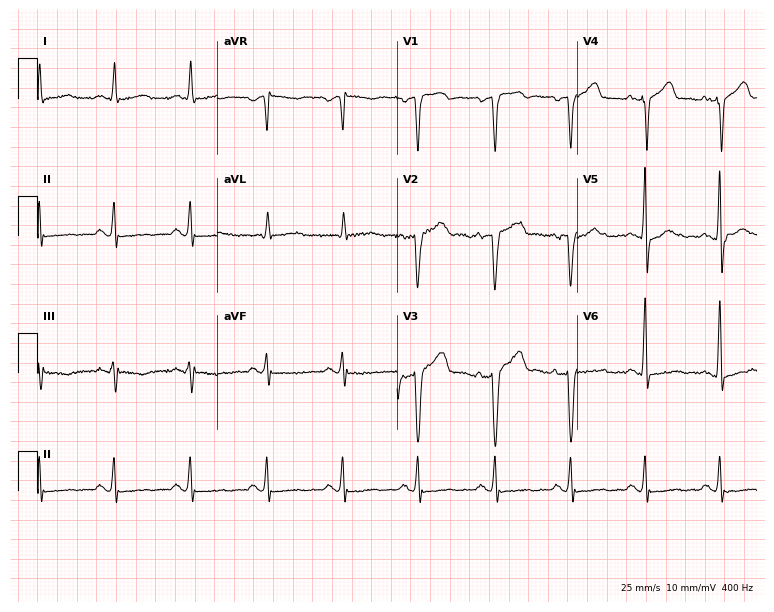
ECG — a 57-year-old man. Screened for six findings — first-degree AV block, right bundle branch block, left bundle branch block, sinus bradycardia, atrial fibrillation, sinus tachycardia — none is recorded. Other findings, if any, are not listed.